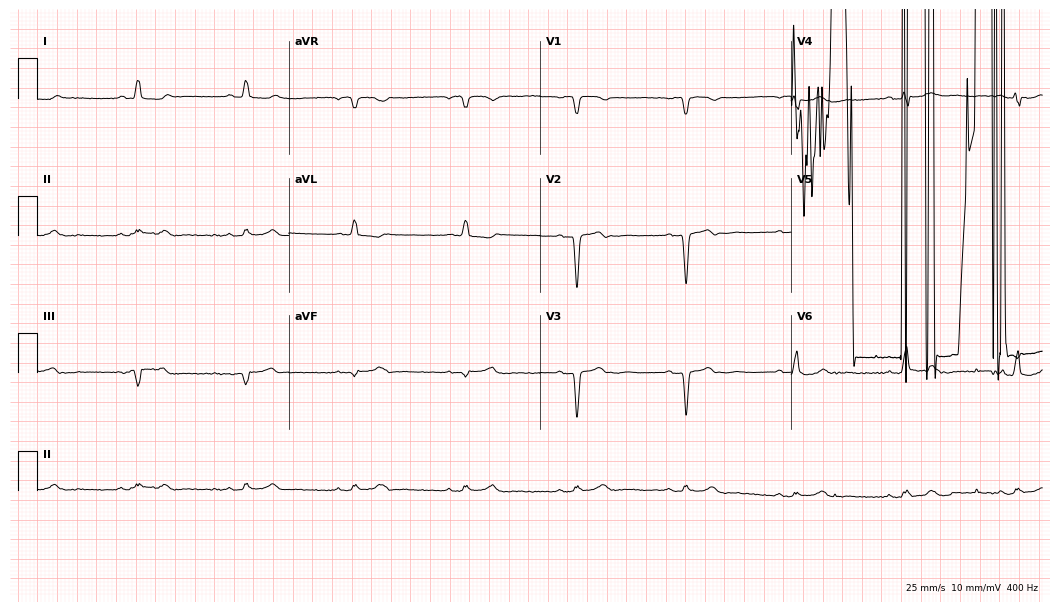
Resting 12-lead electrocardiogram. Patient: a 72-year-old woman. None of these six findings is recorded: first-degree AV block, right bundle branch block (RBBB), left bundle branch block (LBBB), sinus bradycardia, atrial fibrillation (AF), sinus tachycardia.